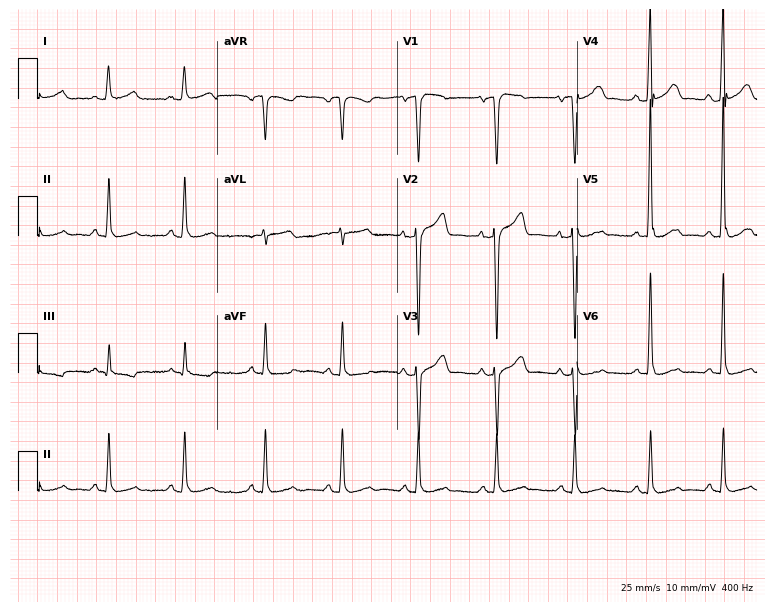
12-lead ECG from a 69-year-old male patient. Labelled as a normal ECG.